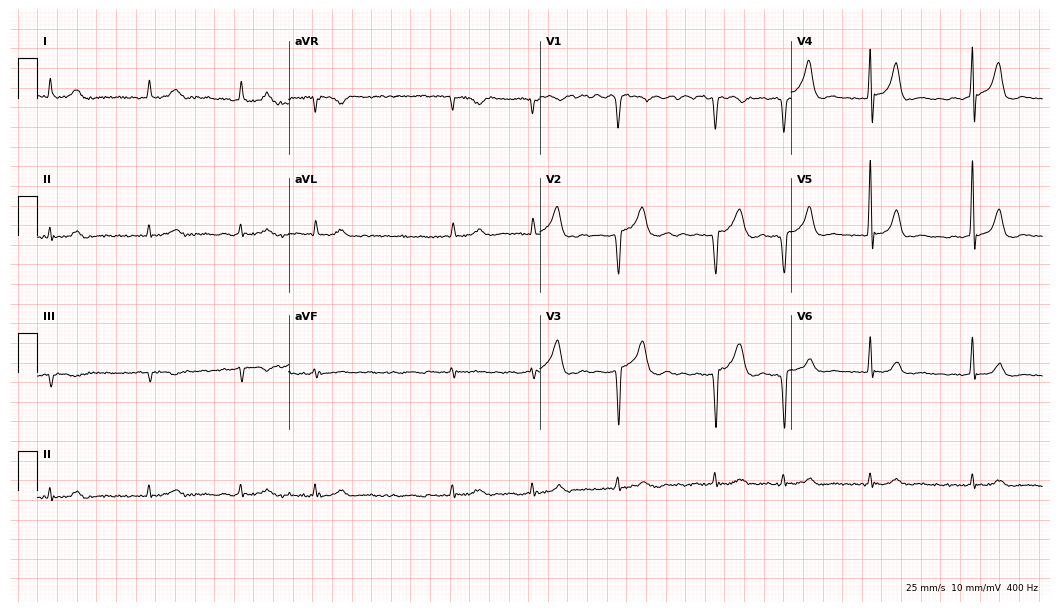
Standard 12-lead ECG recorded from a 76-year-old male patient. The tracing shows atrial fibrillation (AF).